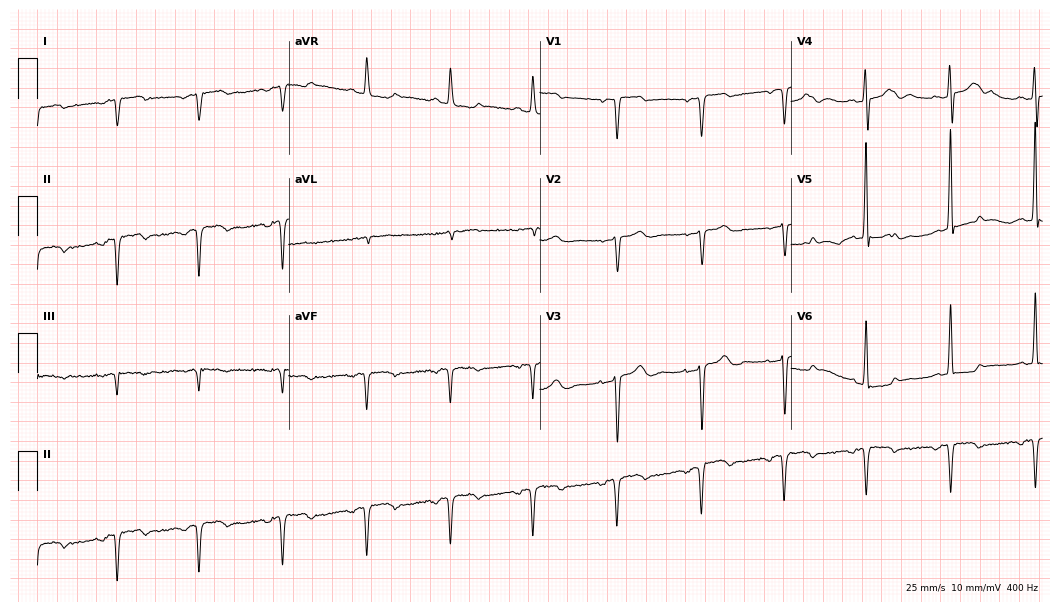
Standard 12-lead ECG recorded from a female, 59 years old. None of these six findings is recorded: first-degree AV block, right bundle branch block, left bundle branch block, sinus bradycardia, atrial fibrillation, sinus tachycardia. Only these six findings were labelled.